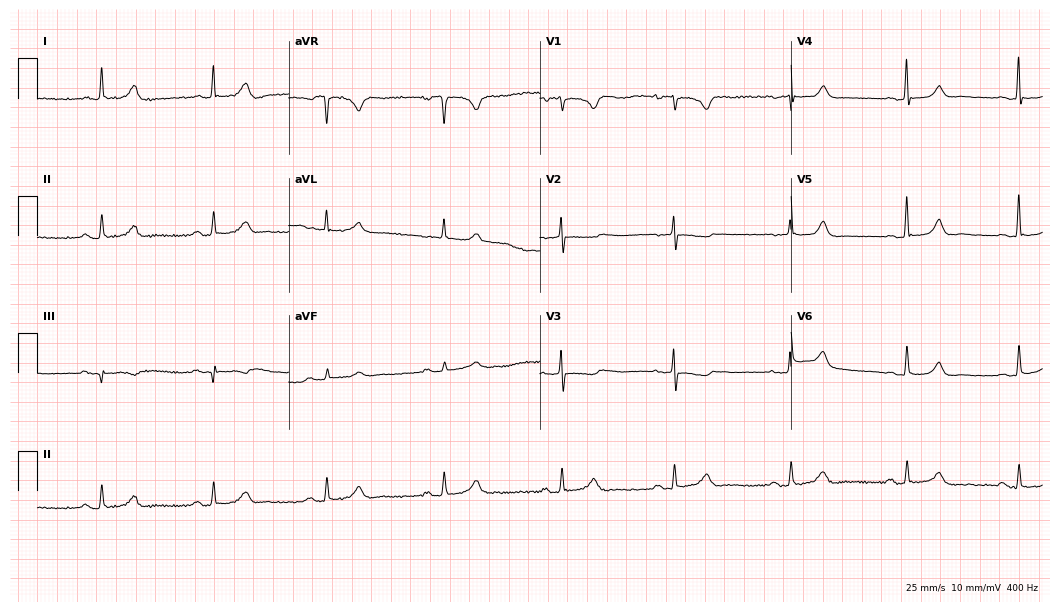
Resting 12-lead electrocardiogram. Patient: a 75-year-old female. None of these six findings is recorded: first-degree AV block, right bundle branch block, left bundle branch block, sinus bradycardia, atrial fibrillation, sinus tachycardia.